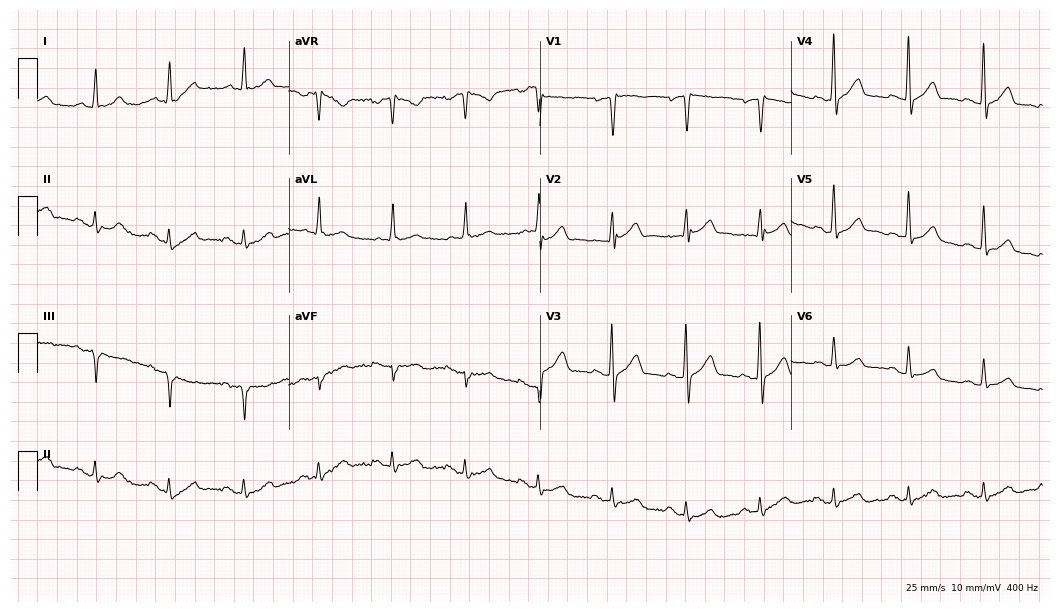
Standard 12-lead ECG recorded from a man, 52 years old. Read as a normal ECG.